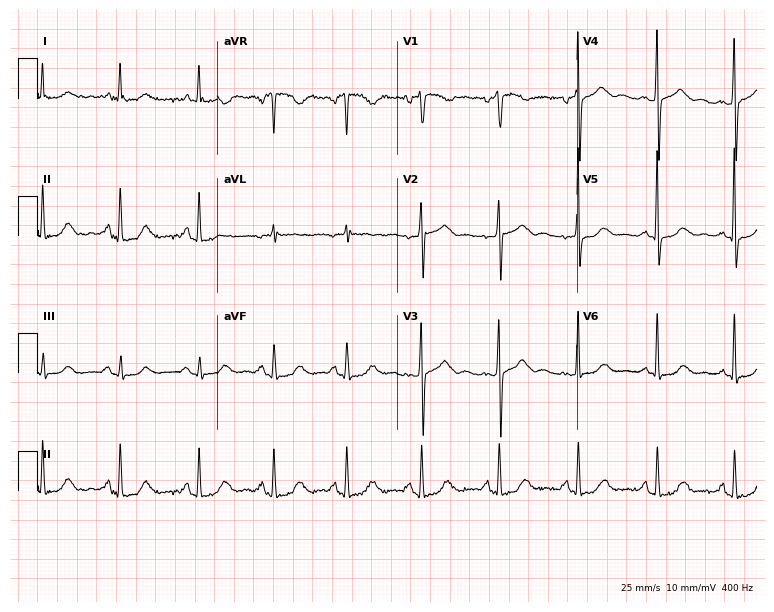
ECG — a woman, 57 years old. Screened for six findings — first-degree AV block, right bundle branch block, left bundle branch block, sinus bradycardia, atrial fibrillation, sinus tachycardia — none is recorded.